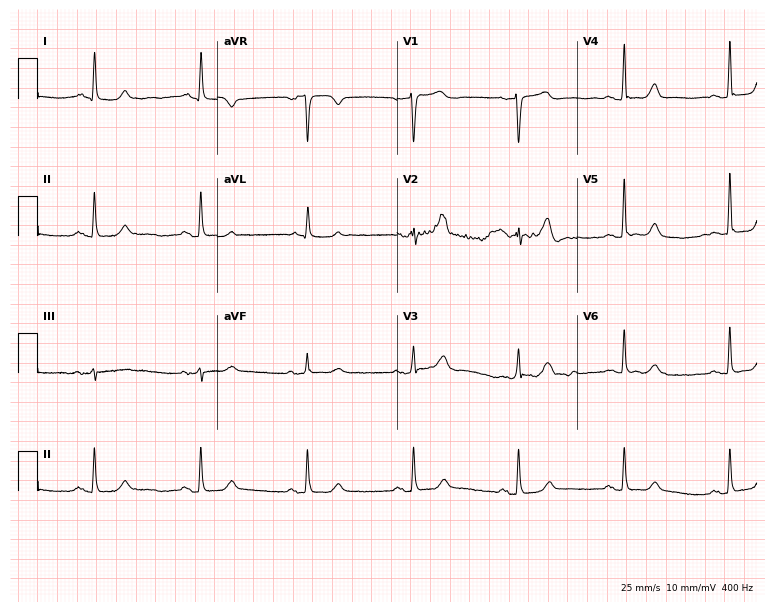
Standard 12-lead ECG recorded from a 64-year-old female. Read as a normal ECG.